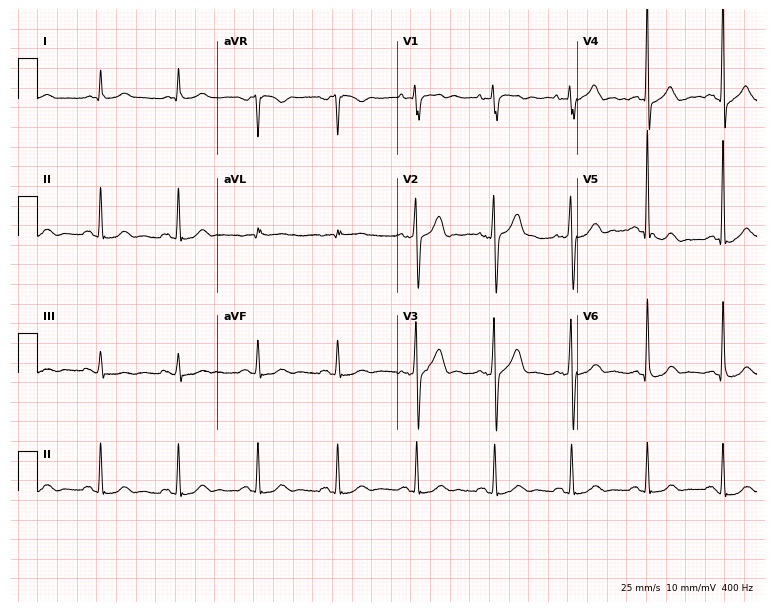
Electrocardiogram (7.3-second recording at 400 Hz), a 69-year-old male patient. Of the six screened findings (first-degree AV block, right bundle branch block, left bundle branch block, sinus bradycardia, atrial fibrillation, sinus tachycardia), none is recorded. Other findings, if any, are not listed.